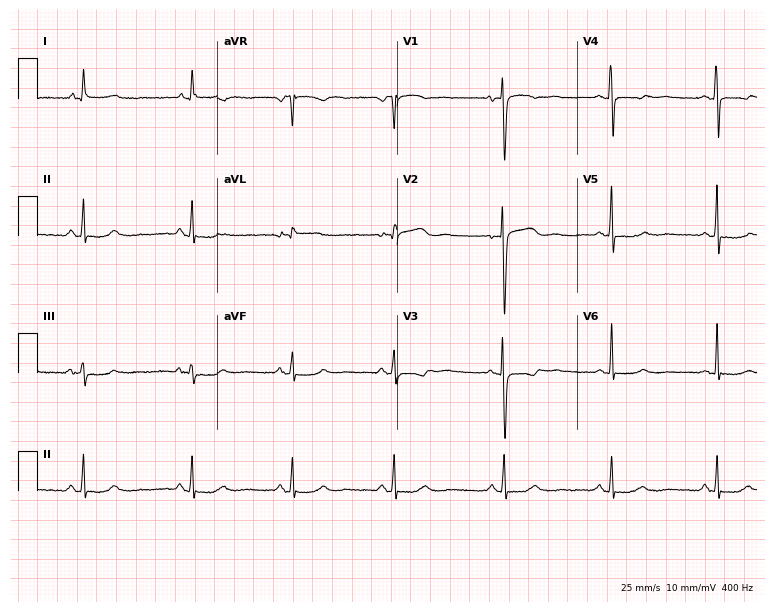
Electrocardiogram, a female, 68 years old. Overall reading on record: normal ECG.